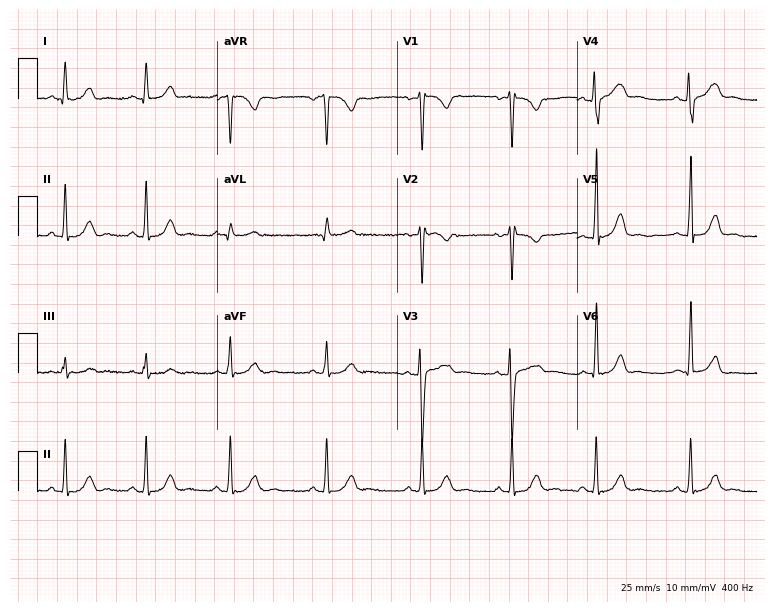
Standard 12-lead ECG recorded from a 20-year-old female (7.3-second recording at 400 Hz). None of these six findings is recorded: first-degree AV block, right bundle branch block (RBBB), left bundle branch block (LBBB), sinus bradycardia, atrial fibrillation (AF), sinus tachycardia.